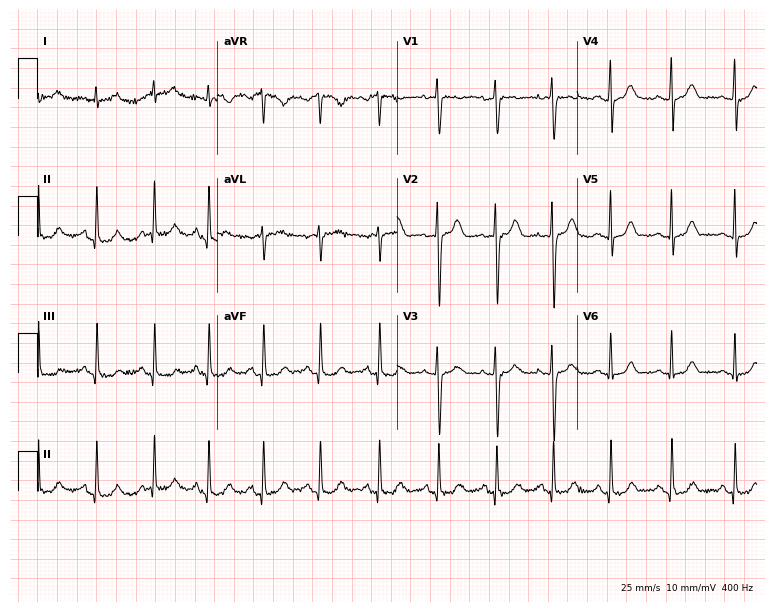
Standard 12-lead ECG recorded from a 30-year-old female. Read as a normal ECG.